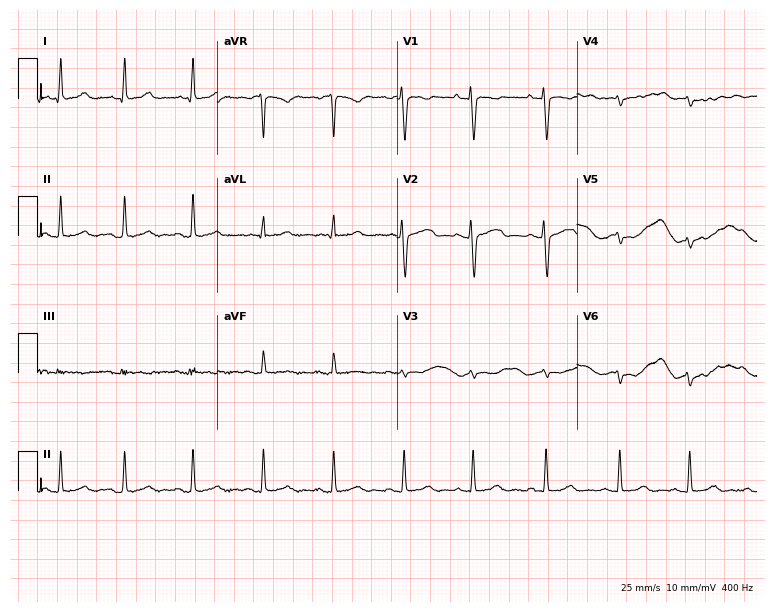
12-lead ECG from a 31-year-old female. Screened for six findings — first-degree AV block, right bundle branch block (RBBB), left bundle branch block (LBBB), sinus bradycardia, atrial fibrillation (AF), sinus tachycardia — none is recorded. Other findings, if any, are not listed.